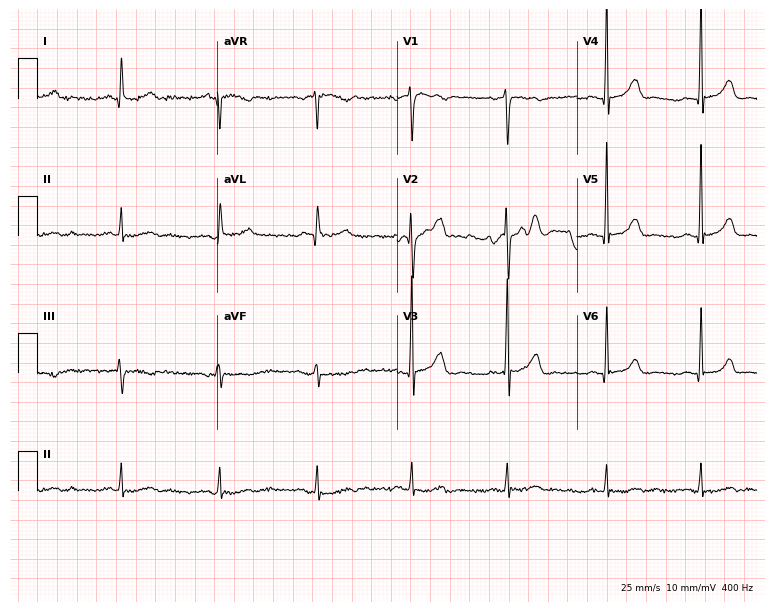
Resting 12-lead electrocardiogram. Patient: a 46-year-old male. Read as a normal ECG.